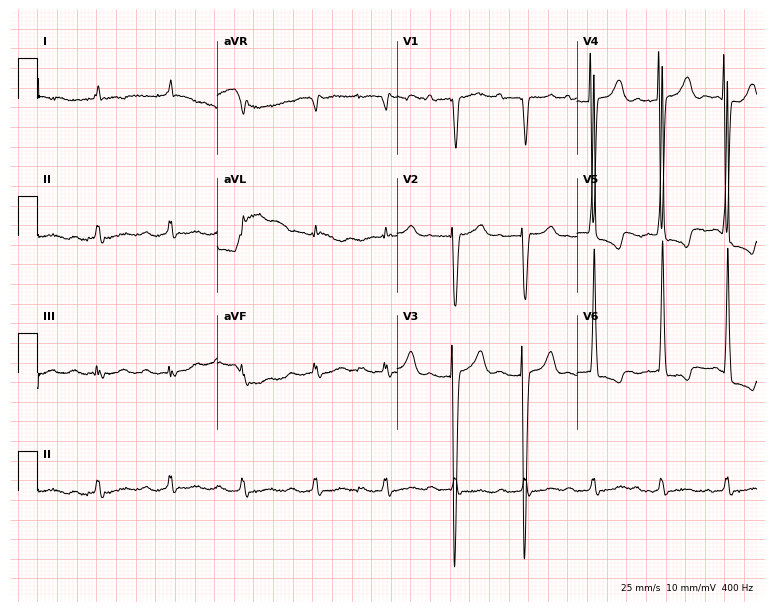
ECG (7.3-second recording at 400 Hz) — a male, 81 years old. Screened for six findings — first-degree AV block, right bundle branch block, left bundle branch block, sinus bradycardia, atrial fibrillation, sinus tachycardia — none is recorded. Only these six findings were labelled.